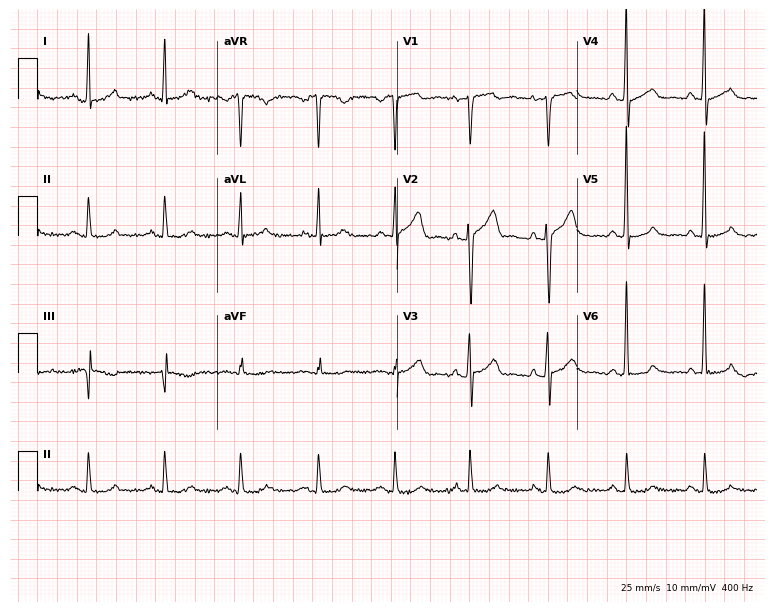
12-lead ECG (7.3-second recording at 400 Hz) from a 54-year-old male. Screened for six findings — first-degree AV block, right bundle branch block, left bundle branch block, sinus bradycardia, atrial fibrillation, sinus tachycardia — none is recorded.